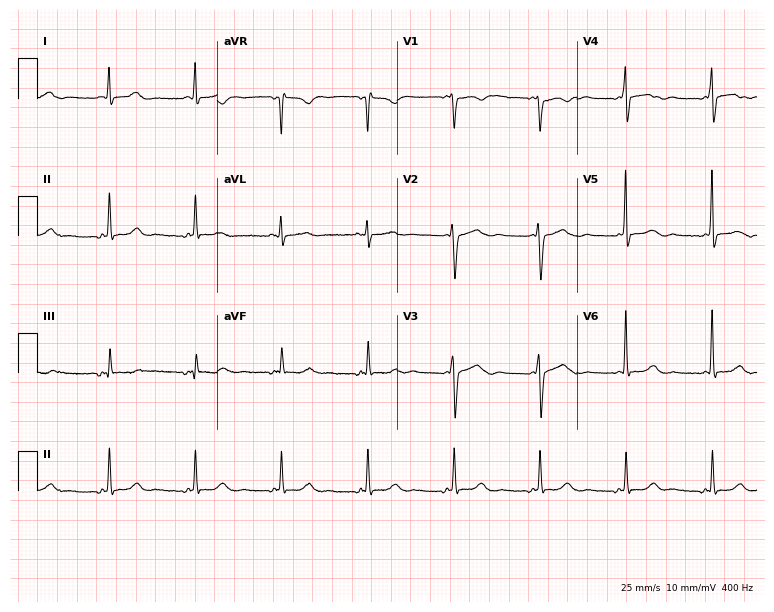
Resting 12-lead electrocardiogram. Patient: a female, 47 years old. Read as a normal ECG.